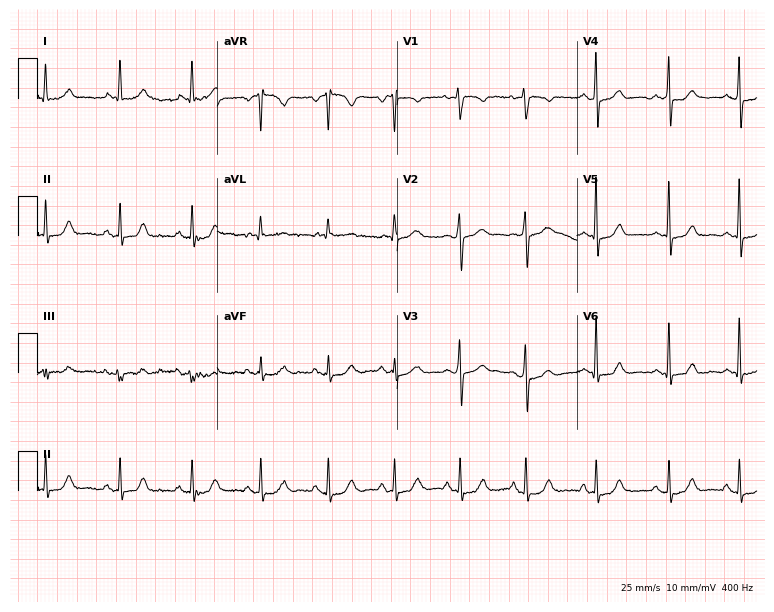
Electrocardiogram (7.3-second recording at 400 Hz), a 58-year-old man. Overall reading on record: normal ECG.